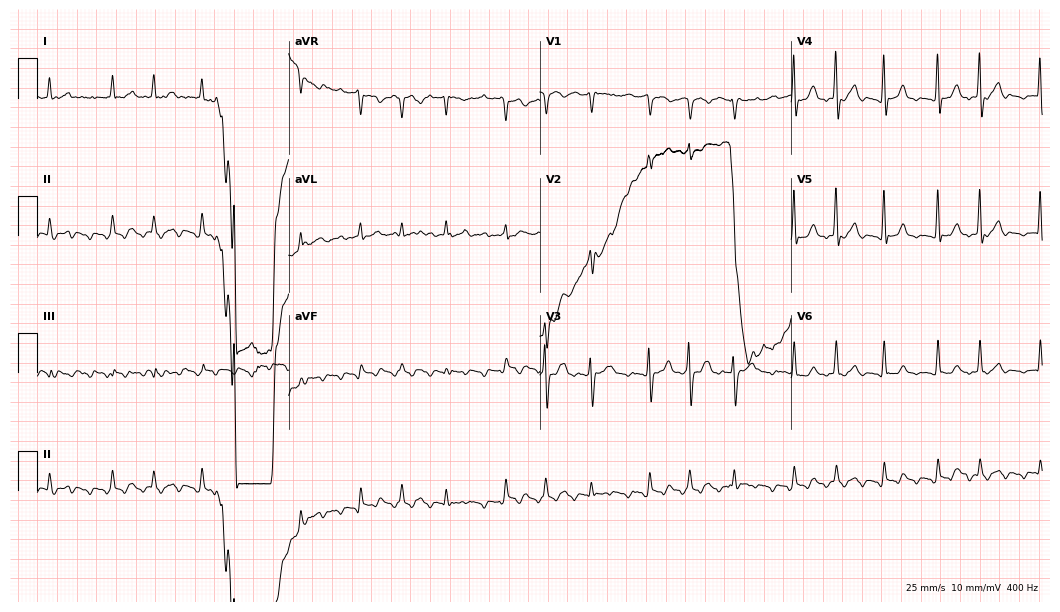
Electrocardiogram (10.2-second recording at 400 Hz), an 82-year-old male. Interpretation includes sinus tachycardia (a sinus rate of 100 beats per minute or more).